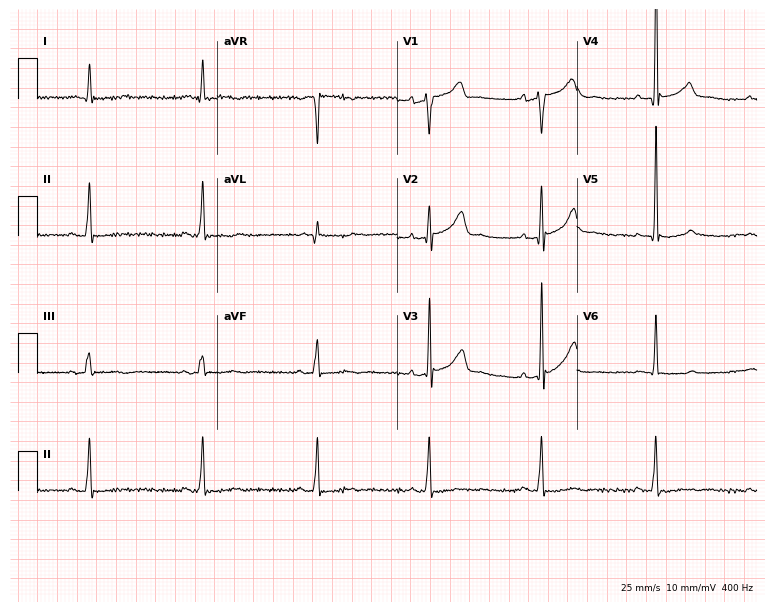
Resting 12-lead electrocardiogram. Patient: a 70-year-old male. None of these six findings is recorded: first-degree AV block, right bundle branch block, left bundle branch block, sinus bradycardia, atrial fibrillation, sinus tachycardia. Only these six findings were labelled.